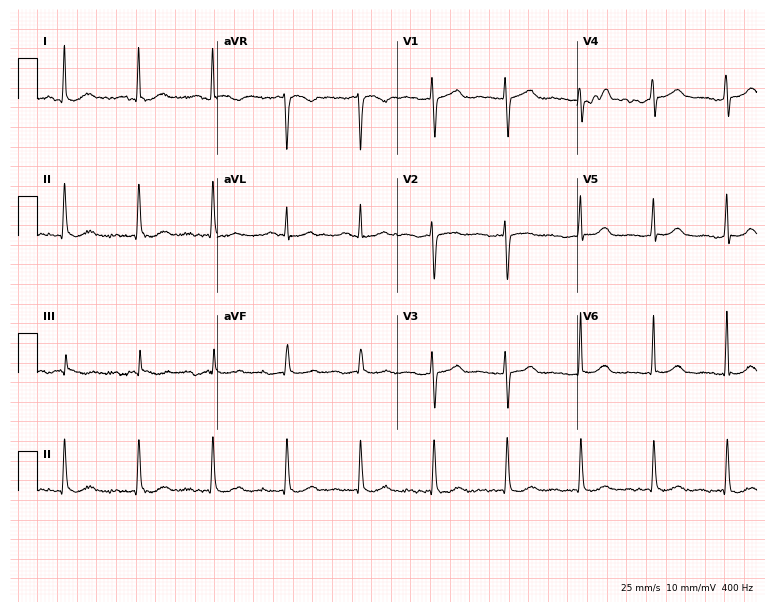
12-lead ECG (7.3-second recording at 400 Hz) from an 83-year-old female patient. Screened for six findings — first-degree AV block, right bundle branch block (RBBB), left bundle branch block (LBBB), sinus bradycardia, atrial fibrillation (AF), sinus tachycardia — none is recorded.